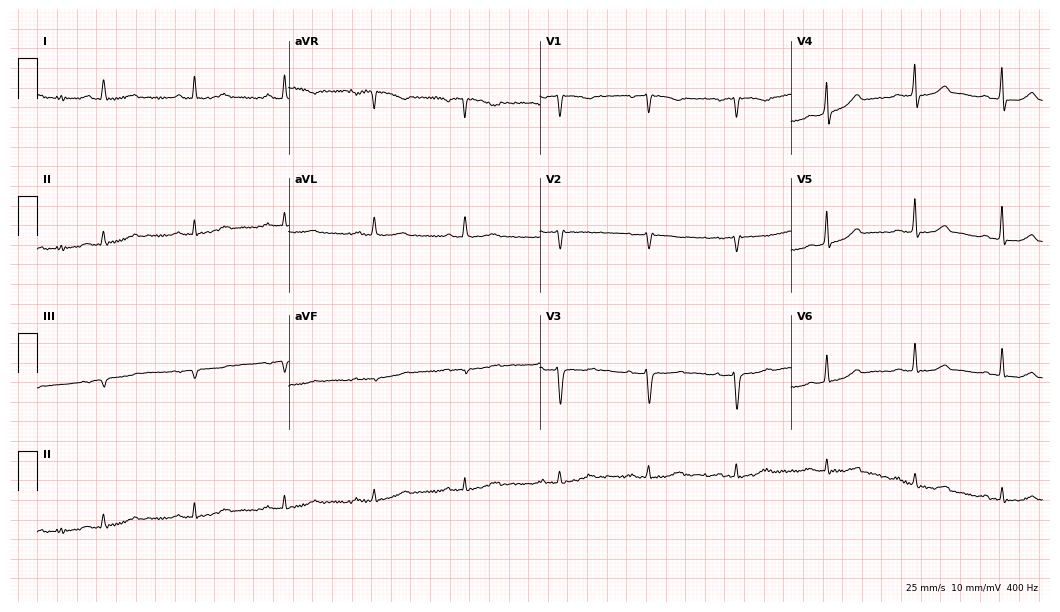
ECG — a female patient, 72 years old. Screened for six findings — first-degree AV block, right bundle branch block (RBBB), left bundle branch block (LBBB), sinus bradycardia, atrial fibrillation (AF), sinus tachycardia — none is recorded.